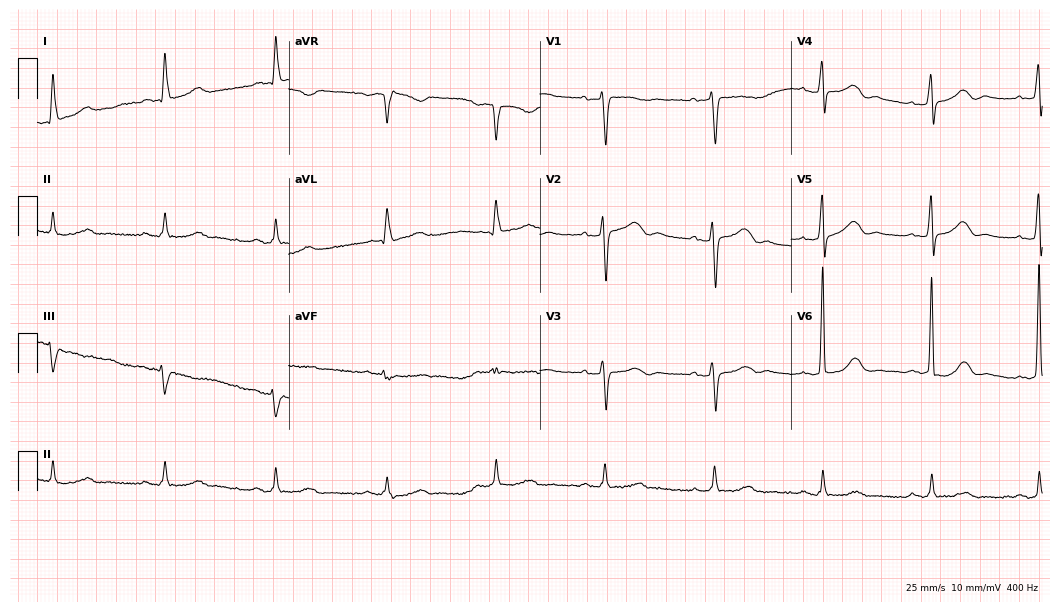
Standard 12-lead ECG recorded from an 80-year-old male (10.2-second recording at 400 Hz). None of these six findings is recorded: first-degree AV block, right bundle branch block, left bundle branch block, sinus bradycardia, atrial fibrillation, sinus tachycardia. Only these six findings were labelled.